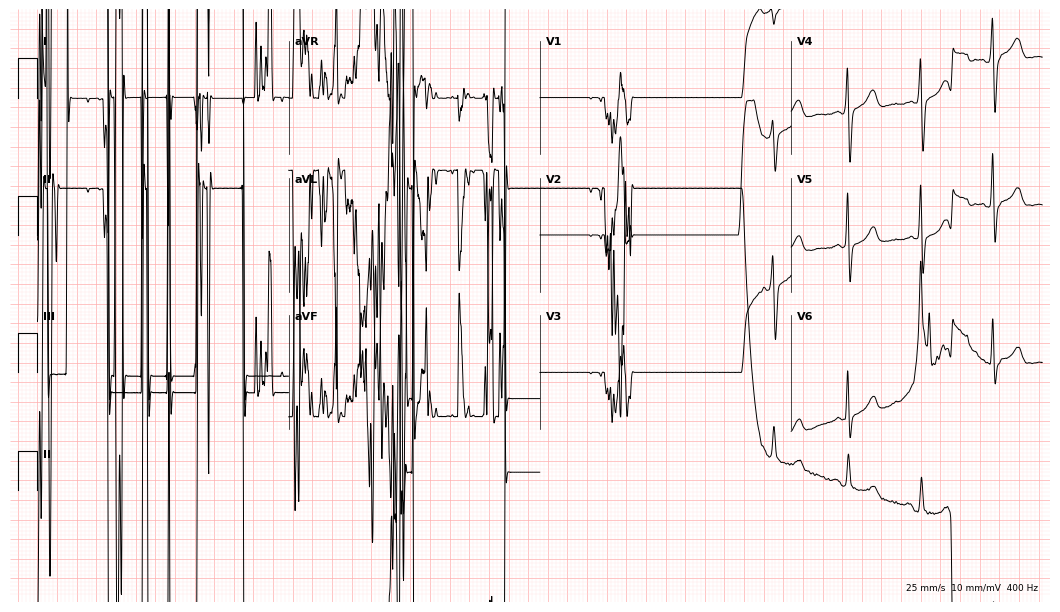
Resting 12-lead electrocardiogram (10.2-second recording at 400 Hz). Patient: a female, 63 years old. None of these six findings is recorded: first-degree AV block, right bundle branch block, left bundle branch block, sinus bradycardia, atrial fibrillation, sinus tachycardia.